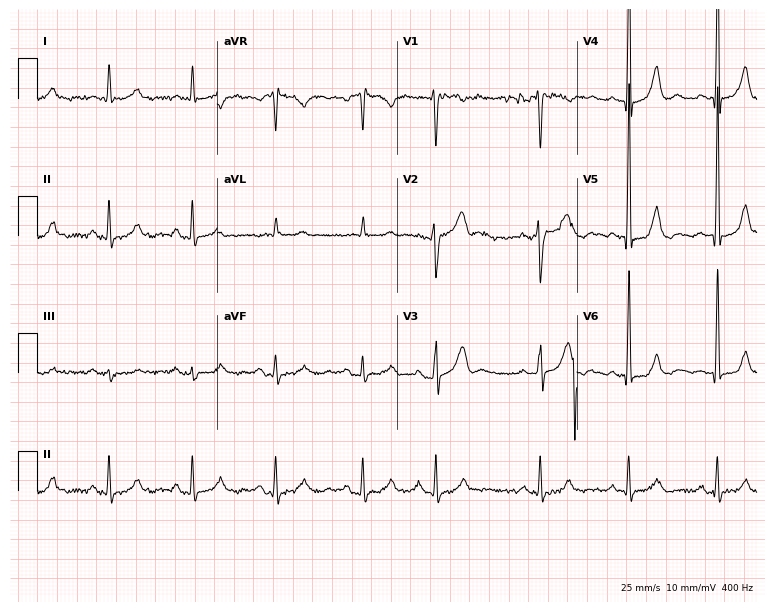
12-lead ECG from a 58-year-old man. Labelled as a normal ECG.